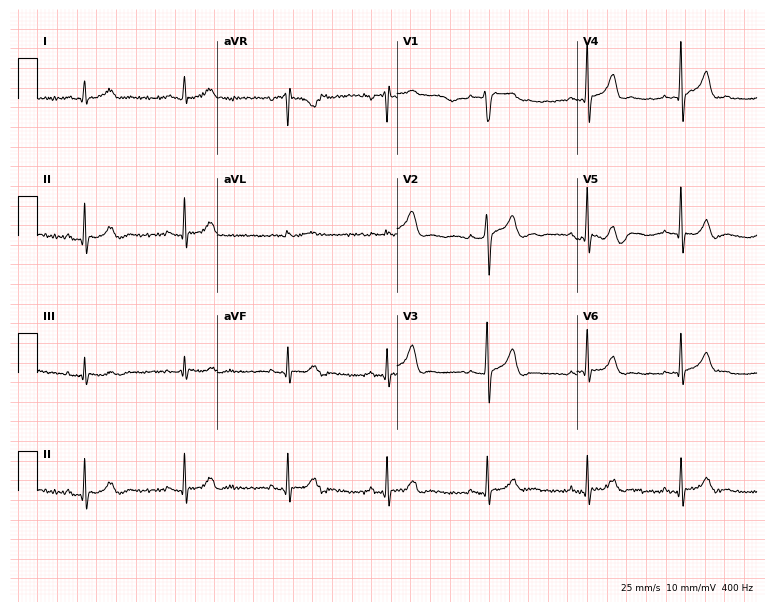
12-lead ECG from a male, 31 years old. Labelled as a normal ECG.